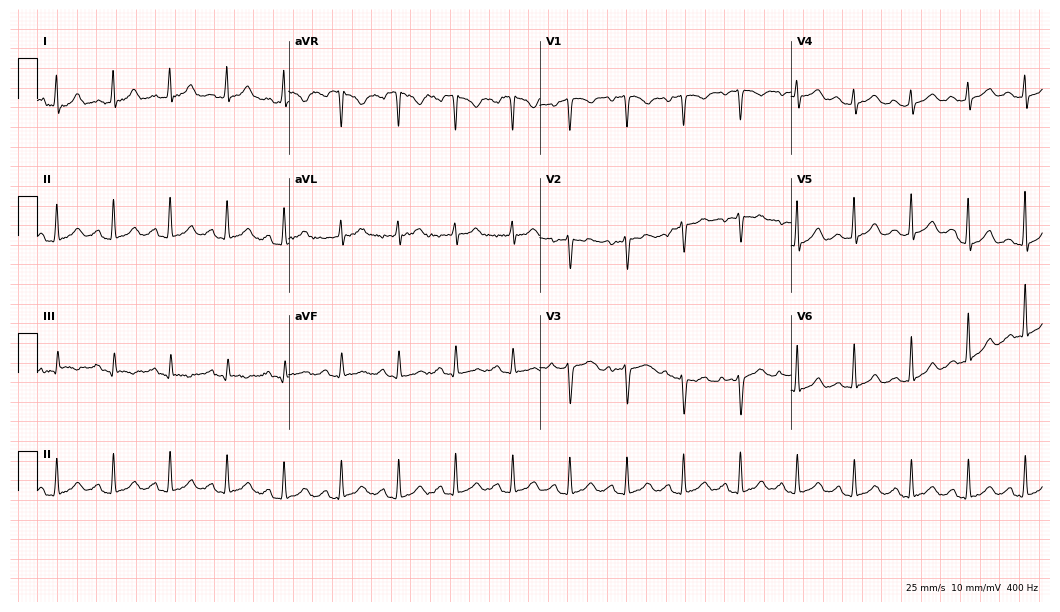
Resting 12-lead electrocardiogram (10.2-second recording at 400 Hz). Patient: a woman, 36 years old. None of these six findings is recorded: first-degree AV block, right bundle branch block, left bundle branch block, sinus bradycardia, atrial fibrillation, sinus tachycardia. Findings outside these six are not listed.